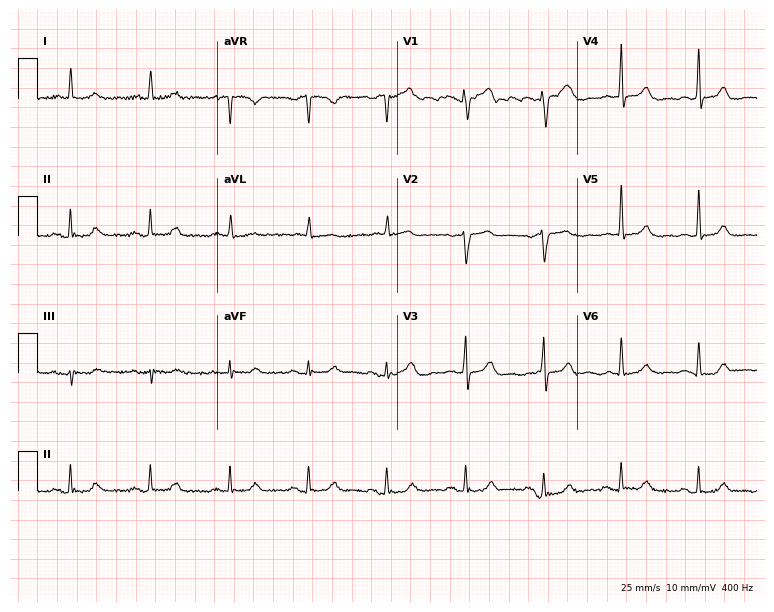
Resting 12-lead electrocardiogram (7.3-second recording at 400 Hz). Patient: a male, 75 years old. Read as a normal ECG.